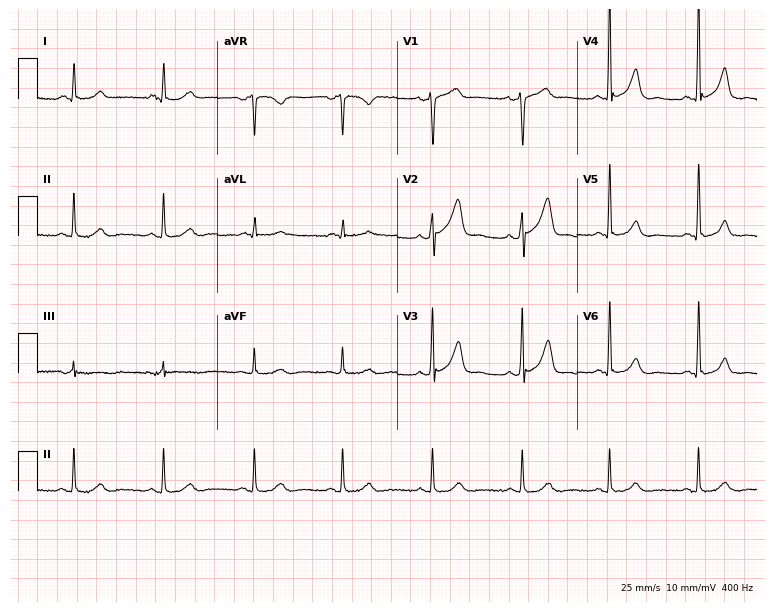
12-lead ECG (7.3-second recording at 400 Hz) from a 57-year-old man. Screened for six findings — first-degree AV block, right bundle branch block, left bundle branch block, sinus bradycardia, atrial fibrillation, sinus tachycardia — none is recorded. Only these six findings were labelled.